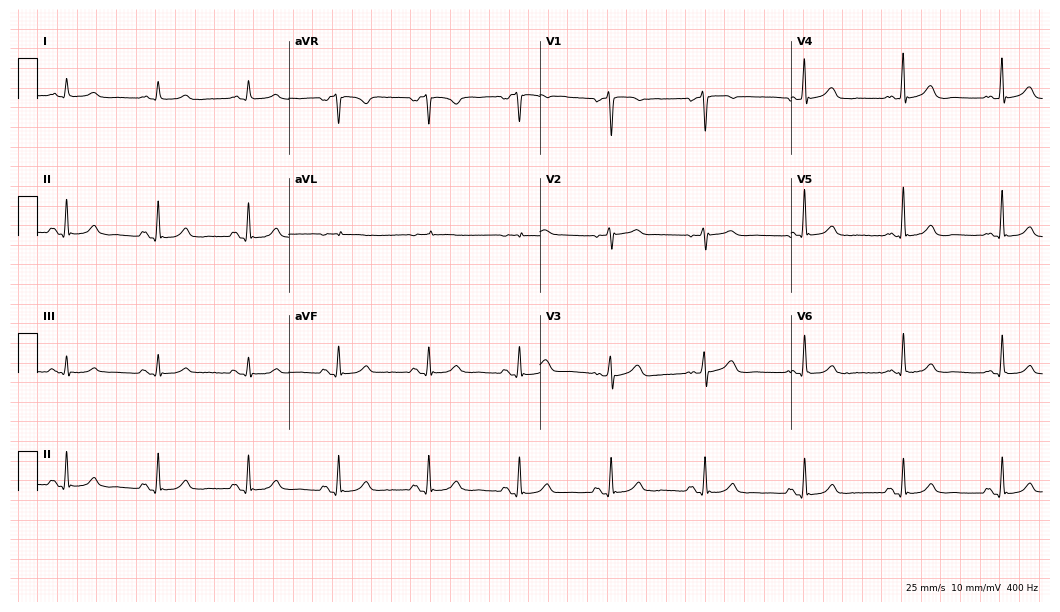
12-lead ECG (10.2-second recording at 400 Hz) from a man, 73 years old. Labelled as a normal ECG.